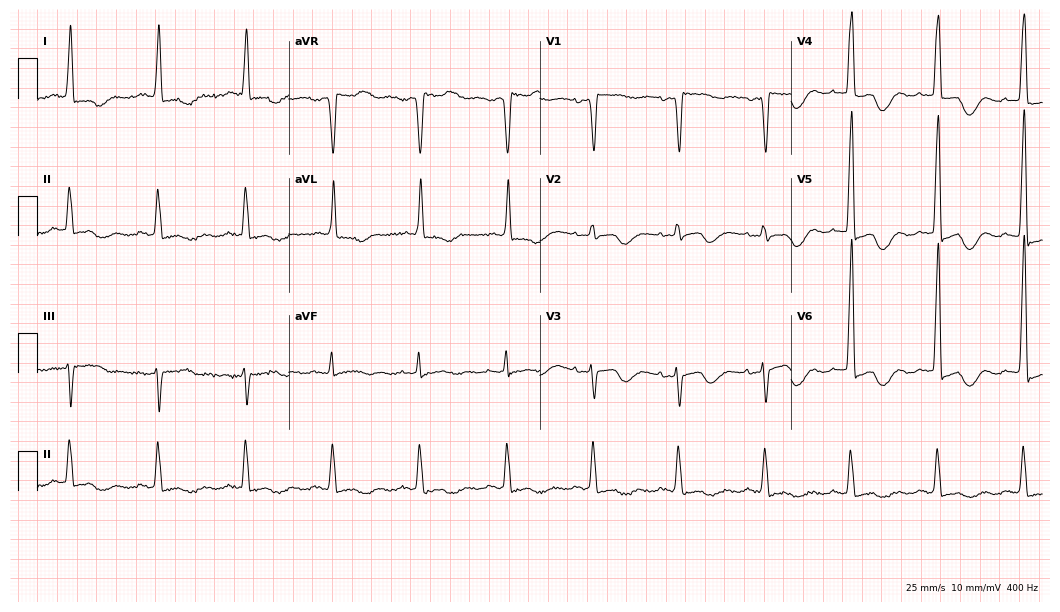
12-lead ECG from a female patient, 82 years old (10.2-second recording at 400 Hz). No first-degree AV block, right bundle branch block (RBBB), left bundle branch block (LBBB), sinus bradycardia, atrial fibrillation (AF) or sinus tachycardia recorded for this tracing. Other findings, if any, are not listed.